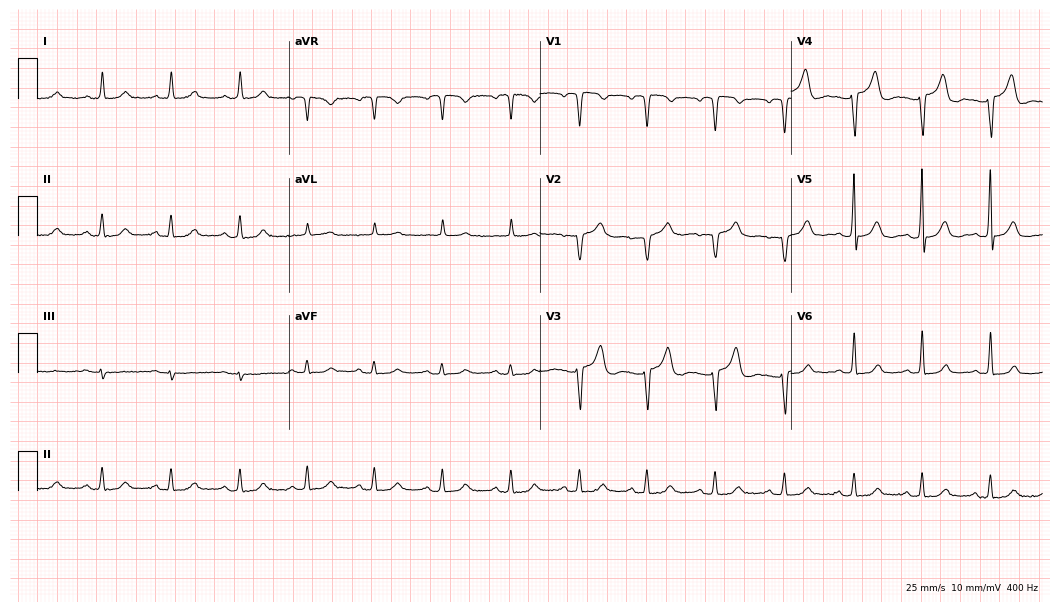
Standard 12-lead ECG recorded from a 51-year-old female (10.2-second recording at 400 Hz). None of these six findings is recorded: first-degree AV block, right bundle branch block (RBBB), left bundle branch block (LBBB), sinus bradycardia, atrial fibrillation (AF), sinus tachycardia. Findings outside these six are not listed.